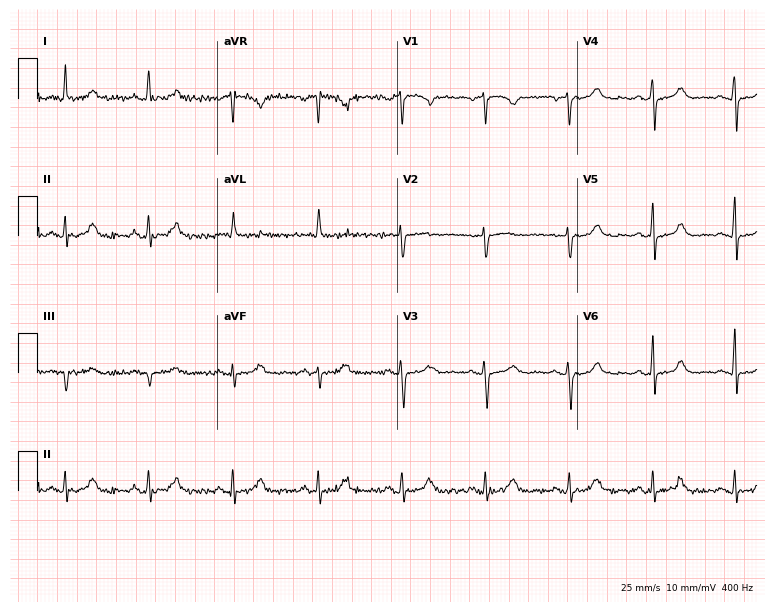
12-lead ECG from a 66-year-old female (7.3-second recording at 400 Hz). Recorded interpretation: within normal limits.